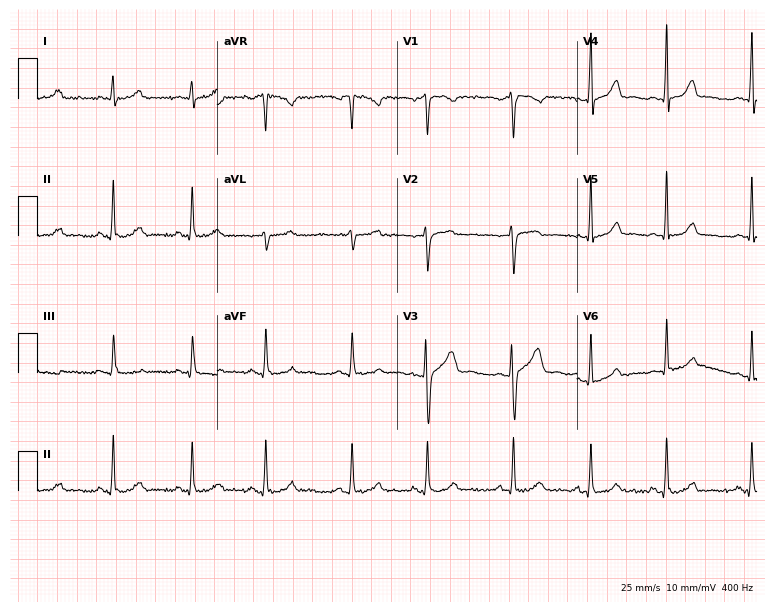
Electrocardiogram (7.3-second recording at 400 Hz), a 26-year-old female. Overall reading on record: normal ECG.